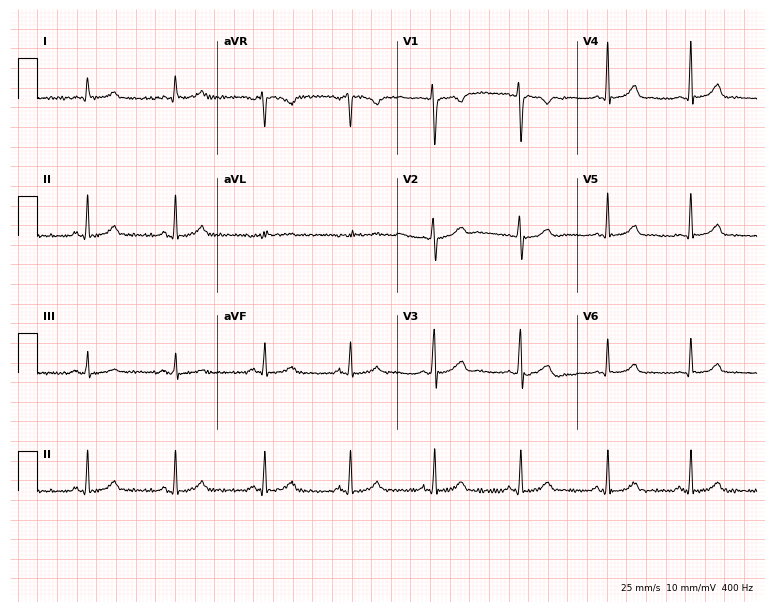
12-lead ECG from a male patient, 42 years old. Labelled as a normal ECG.